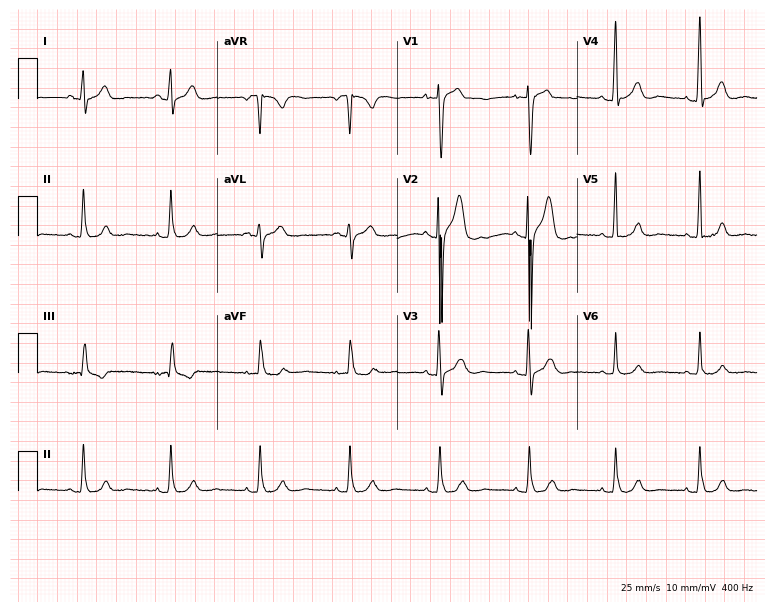
12-lead ECG from a male patient, 23 years old. Recorded interpretation: within normal limits.